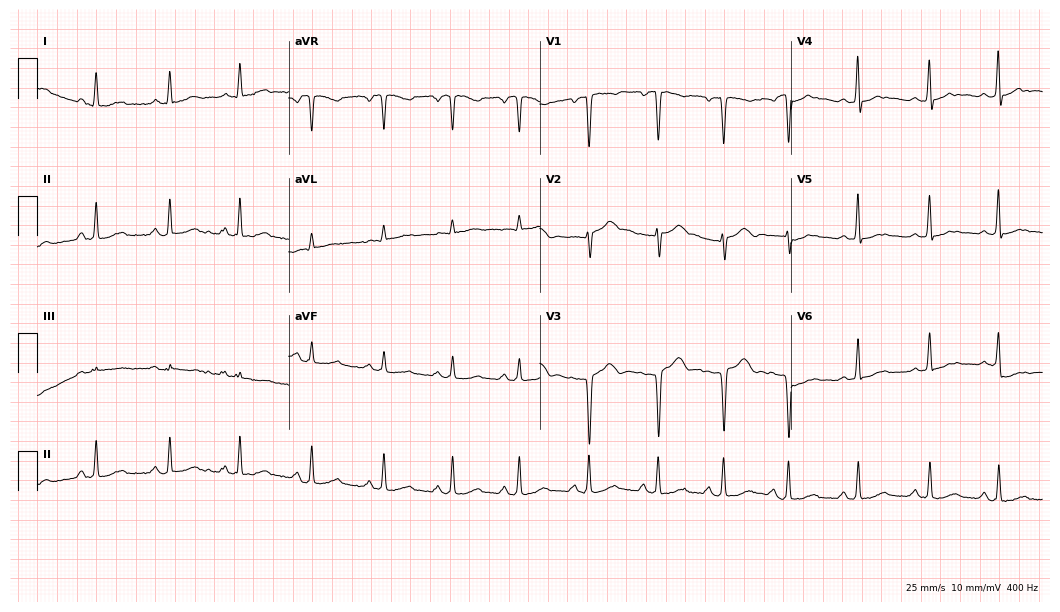
Resting 12-lead electrocardiogram. Patient: a woman, 42 years old. None of these six findings is recorded: first-degree AV block, right bundle branch block, left bundle branch block, sinus bradycardia, atrial fibrillation, sinus tachycardia. Findings outside these six are not listed.